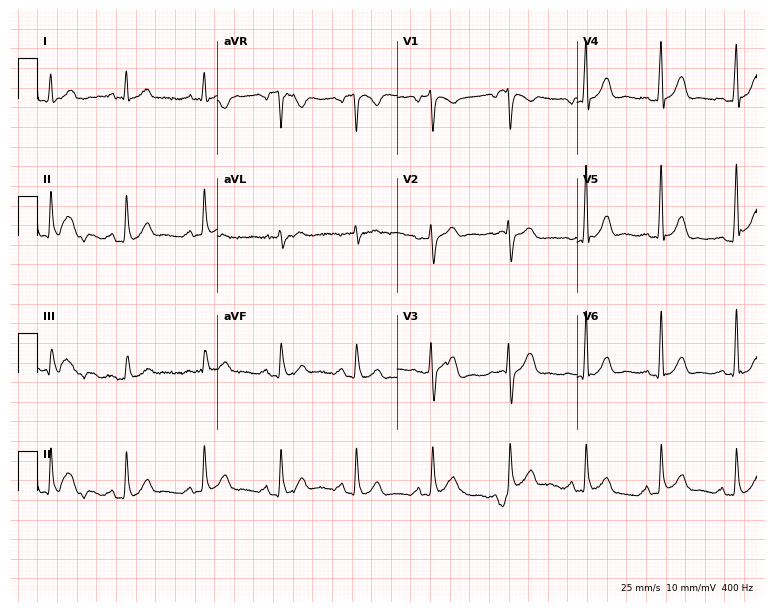
Resting 12-lead electrocardiogram (7.3-second recording at 400 Hz). Patient: a man, 37 years old. Read as a normal ECG.